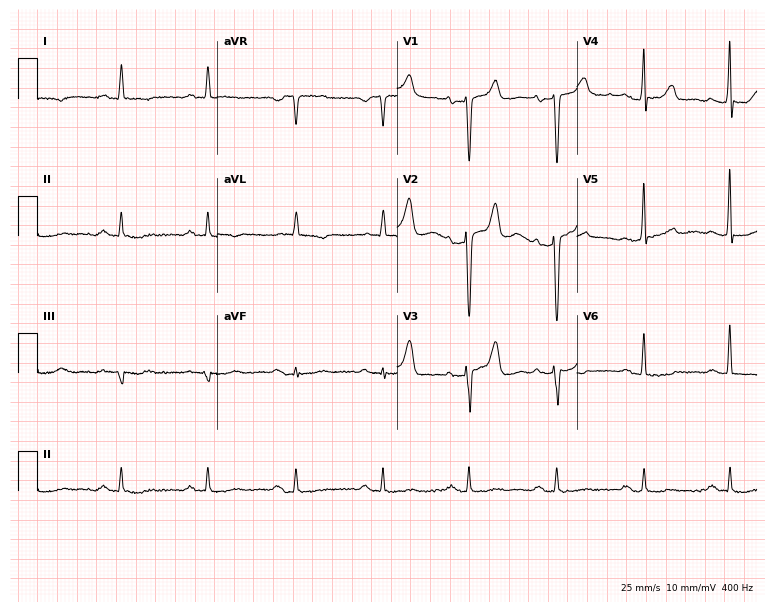
12-lead ECG (7.3-second recording at 400 Hz) from a 58-year-old male. Screened for six findings — first-degree AV block, right bundle branch block, left bundle branch block, sinus bradycardia, atrial fibrillation, sinus tachycardia — none is recorded. Findings outside these six are not listed.